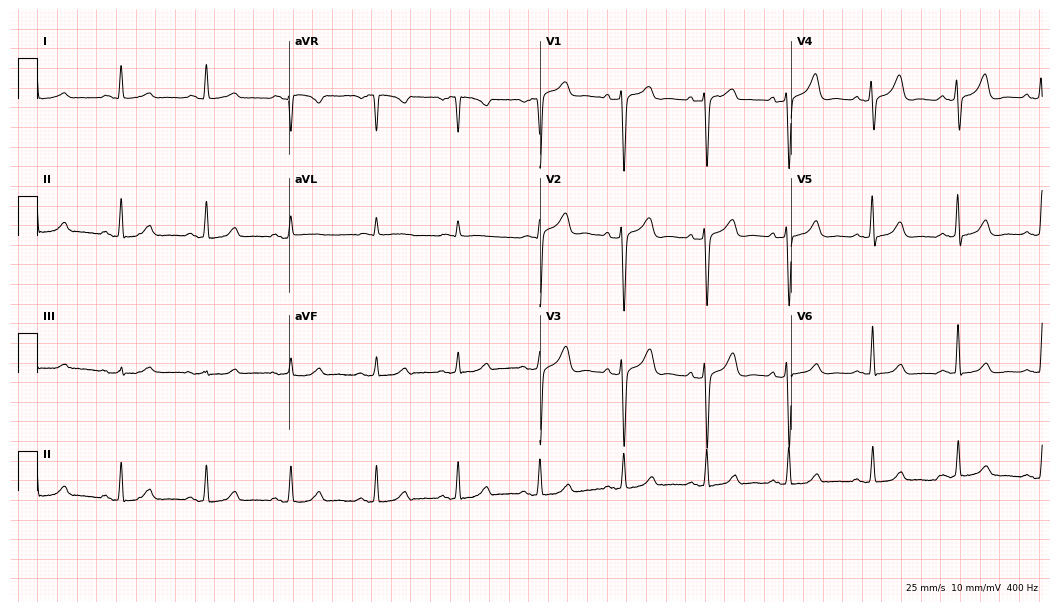
12-lead ECG (10.2-second recording at 400 Hz) from a female, 58 years old. Screened for six findings — first-degree AV block, right bundle branch block, left bundle branch block, sinus bradycardia, atrial fibrillation, sinus tachycardia — none is recorded.